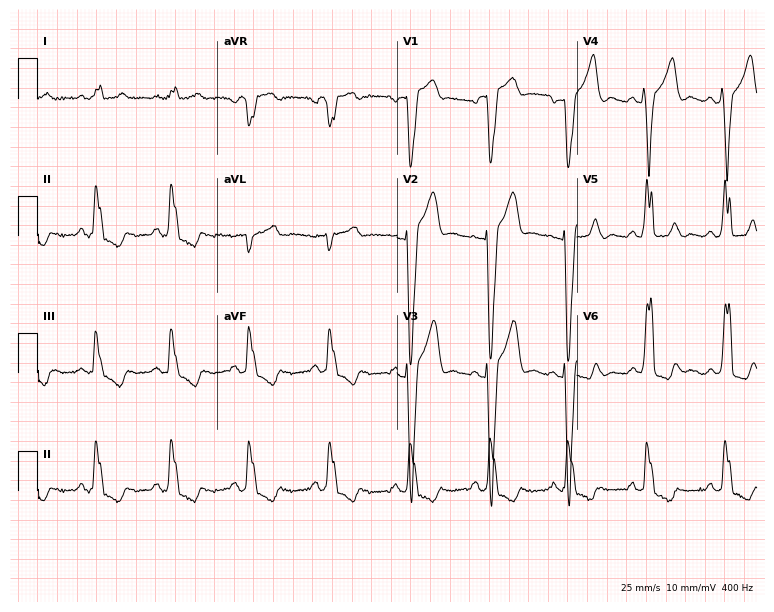
12-lead ECG from a 64-year-old male. Findings include left bundle branch block (LBBB).